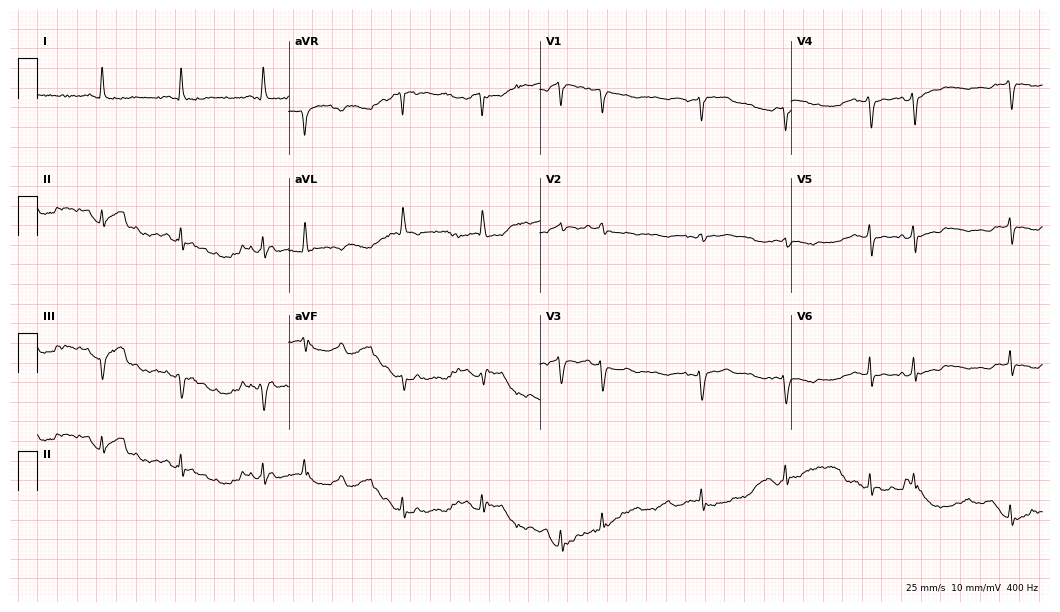
Resting 12-lead electrocardiogram. Patient: a female, 69 years old. None of these six findings is recorded: first-degree AV block, right bundle branch block, left bundle branch block, sinus bradycardia, atrial fibrillation, sinus tachycardia.